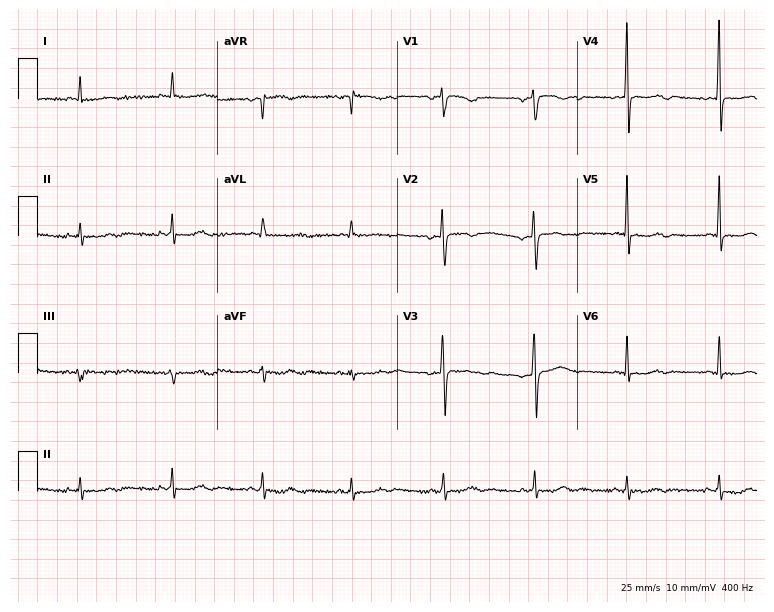
12-lead ECG from a 61-year-old female patient. Screened for six findings — first-degree AV block, right bundle branch block, left bundle branch block, sinus bradycardia, atrial fibrillation, sinus tachycardia — none is recorded.